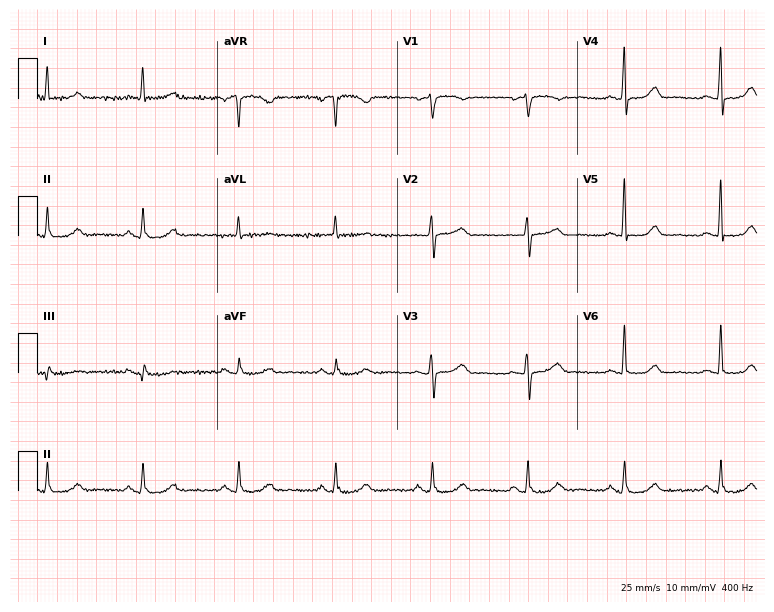
ECG (7.3-second recording at 400 Hz) — a woman, 74 years old. Labelled as a normal ECG.